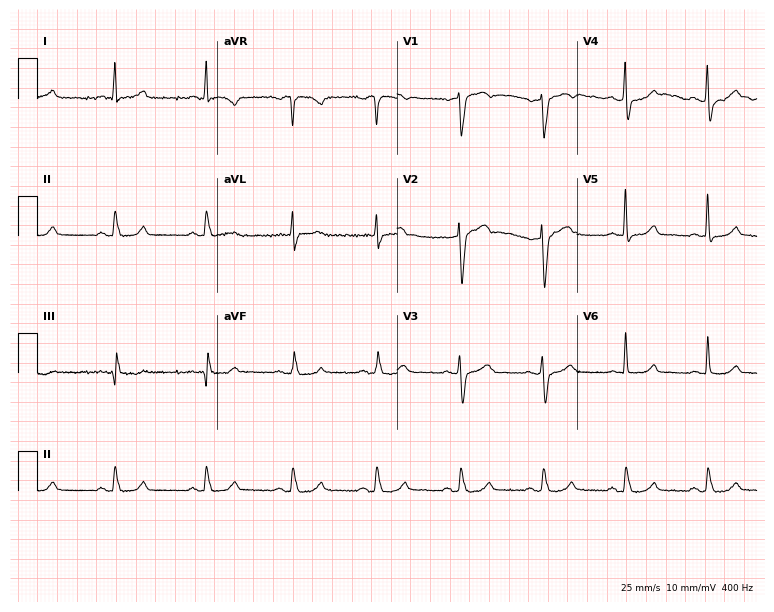
Resting 12-lead electrocardiogram (7.3-second recording at 400 Hz). Patient: a 71-year-old woman. None of these six findings is recorded: first-degree AV block, right bundle branch block (RBBB), left bundle branch block (LBBB), sinus bradycardia, atrial fibrillation (AF), sinus tachycardia.